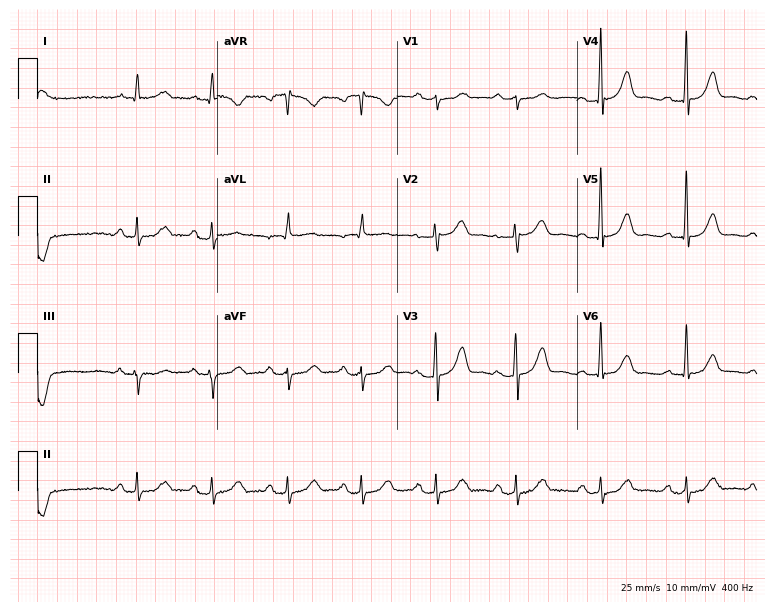
Resting 12-lead electrocardiogram (7.3-second recording at 400 Hz). Patient: a woman, 60 years old. None of these six findings is recorded: first-degree AV block, right bundle branch block, left bundle branch block, sinus bradycardia, atrial fibrillation, sinus tachycardia. Other findings, if any, are not listed.